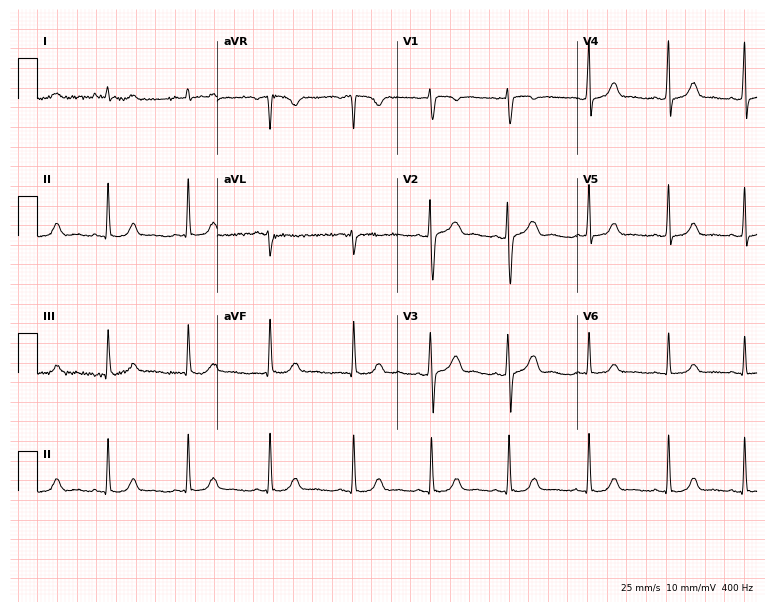
Electrocardiogram, a woman, 26 years old. Overall reading on record: normal ECG.